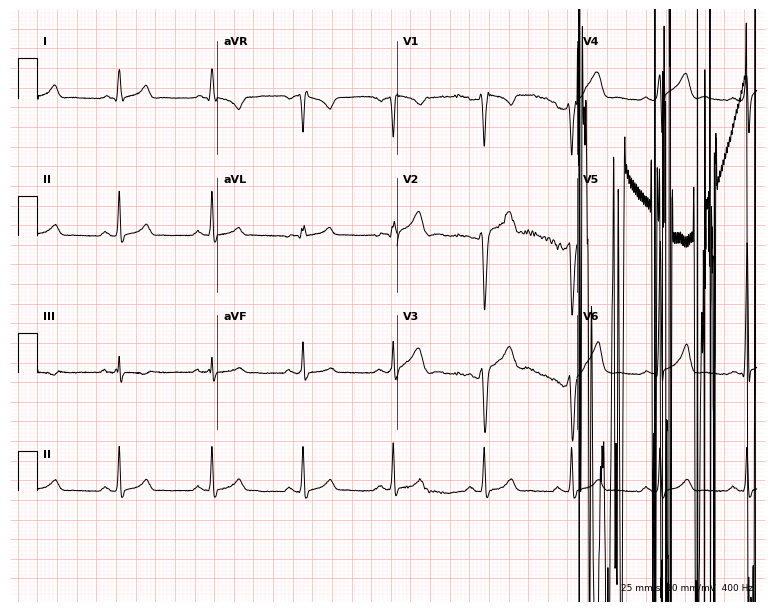
Electrocardiogram (7.3-second recording at 400 Hz), a male patient, 29 years old. Of the six screened findings (first-degree AV block, right bundle branch block, left bundle branch block, sinus bradycardia, atrial fibrillation, sinus tachycardia), none is recorded.